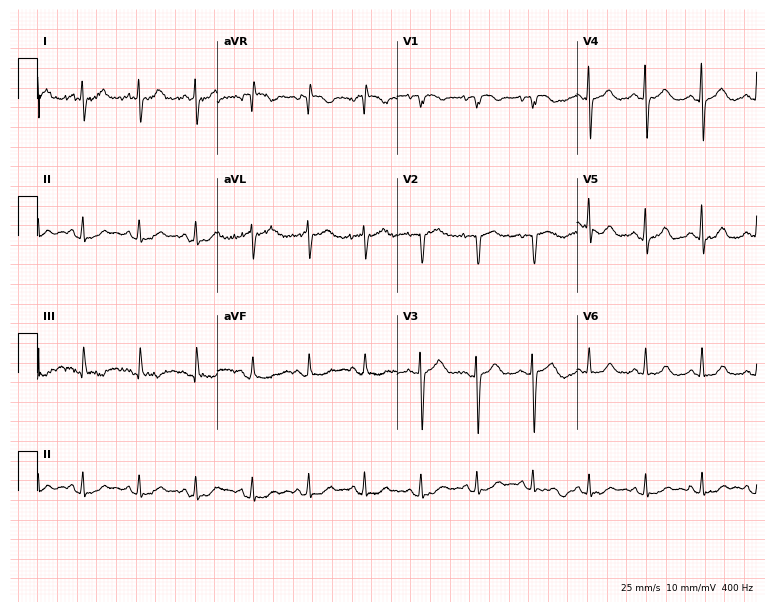
12-lead ECG from a 54-year-old female. No first-degree AV block, right bundle branch block, left bundle branch block, sinus bradycardia, atrial fibrillation or sinus tachycardia recorded for this tracing. Other findings, if any, are not listed.